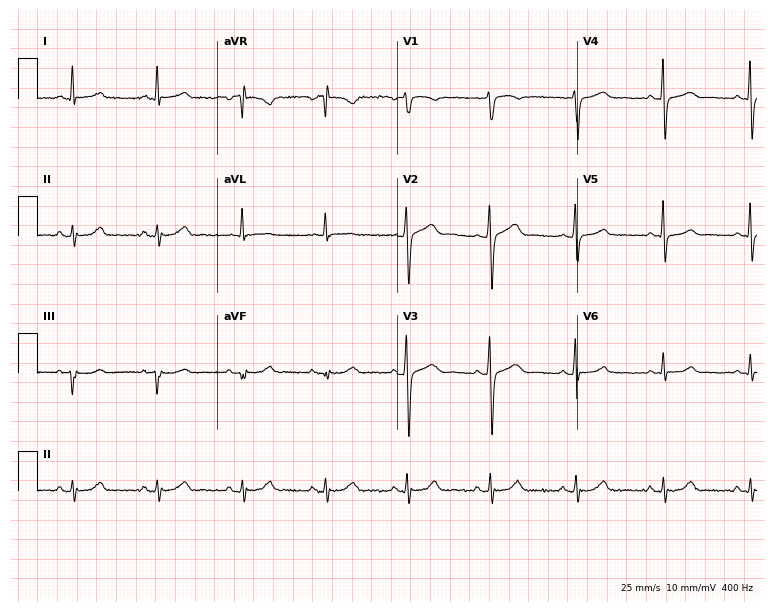
ECG (7.3-second recording at 400 Hz) — a woman, 59 years old. Labelled as a normal ECG.